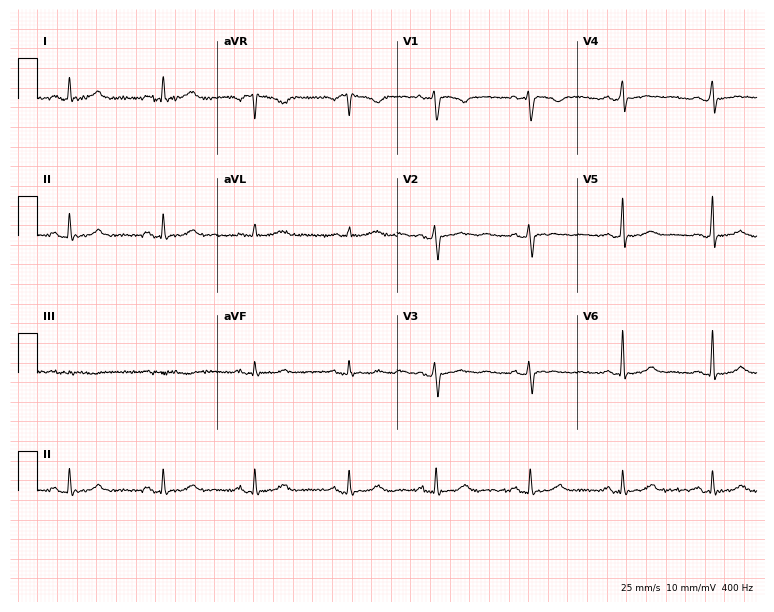
12-lead ECG from a woman, 29 years old. No first-degree AV block, right bundle branch block, left bundle branch block, sinus bradycardia, atrial fibrillation or sinus tachycardia recorded for this tracing.